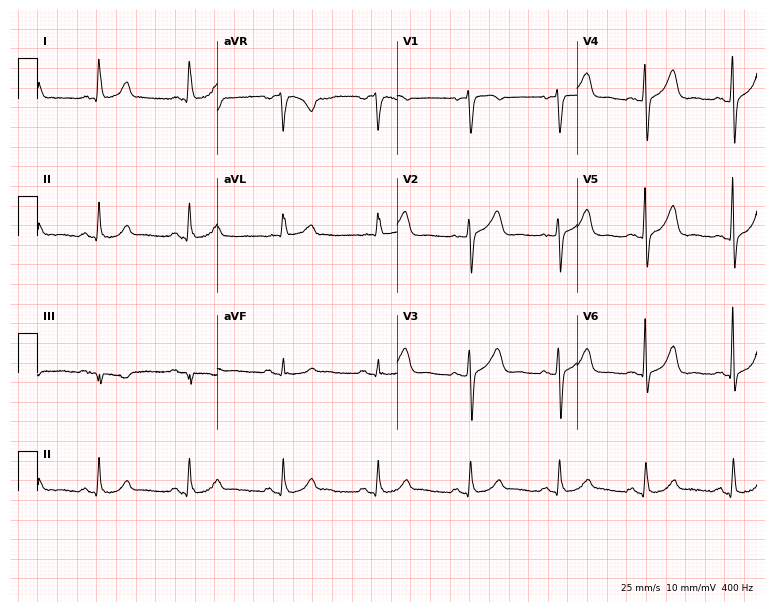
Resting 12-lead electrocardiogram. Patient: a woman, 63 years old. None of these six findings is recorded: first-degree AV block, right bundle branch block, left bundle branch block, sinus bradycardia, atrial fibrillation, sinus tachycardia. Other findings, if any, are not listed.